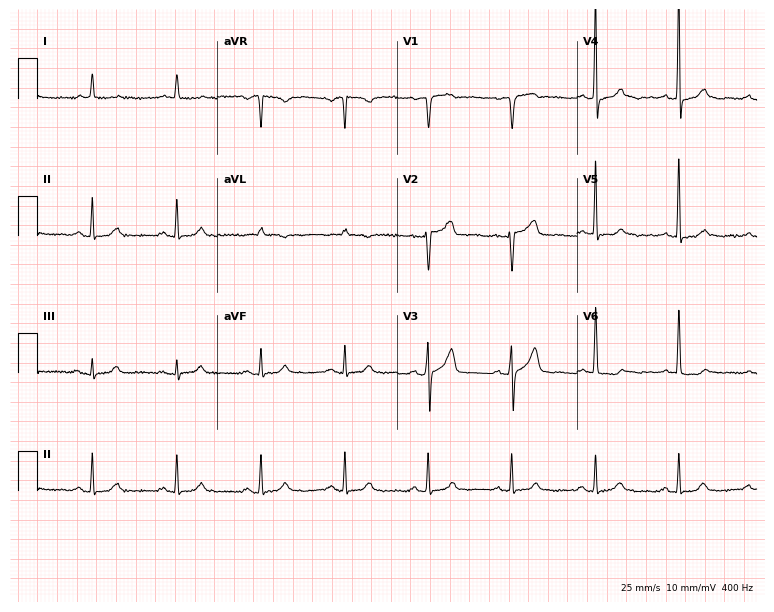
Electrocardiogram (7.3-second recording at 400 Hz), a male patient, 76 years old. Of the six screened findings (first-degree AV block, right bundle branch block (RBBB), left bundle branch block (LBBB), sinus bradycardia, atrial fibrillation (AF), sinus tachycardia), none is recorded.